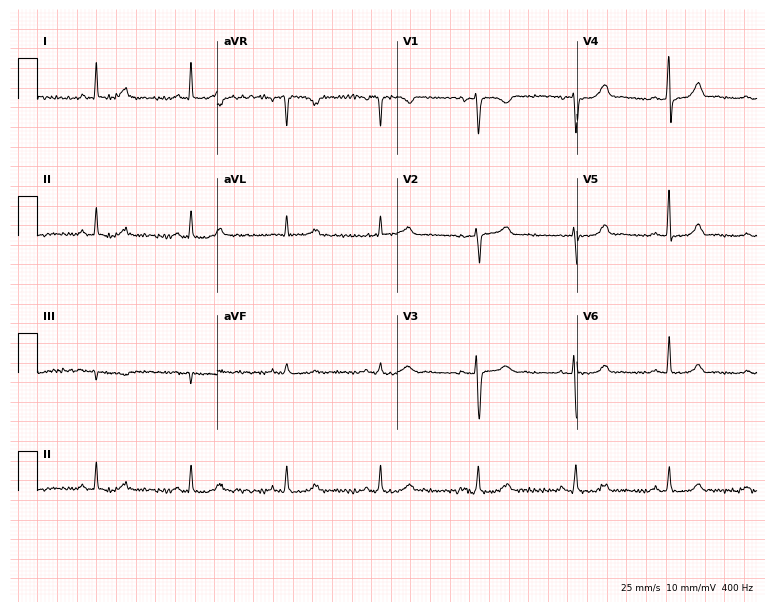
12-lead ECG from a woman, 45 years old. Recorded interpretation: within normal limits.